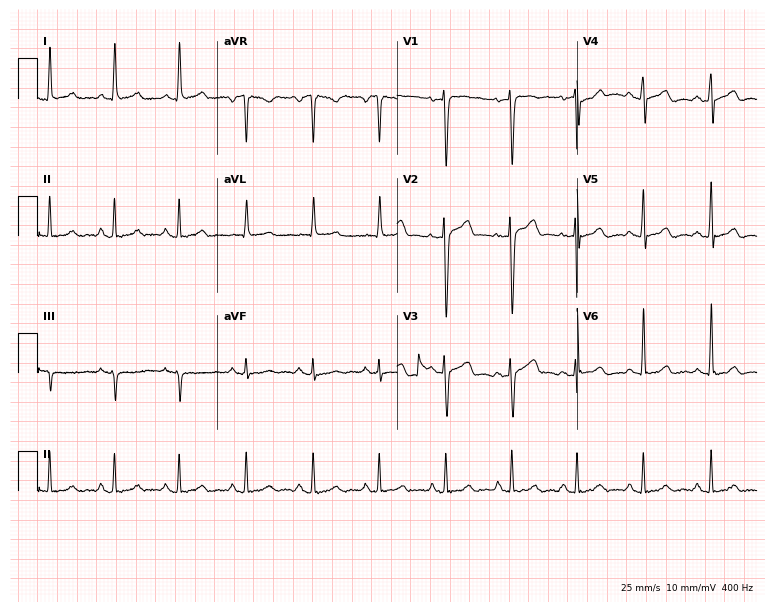
Standard 12-lead ECG recorded from a male patient, 41 years old. None of these six findings is recorded: first-degree AV block, right bundle branch block, left bundle branch block, sinus bradycardia, atrial fibrillation, sinus tachycardia.